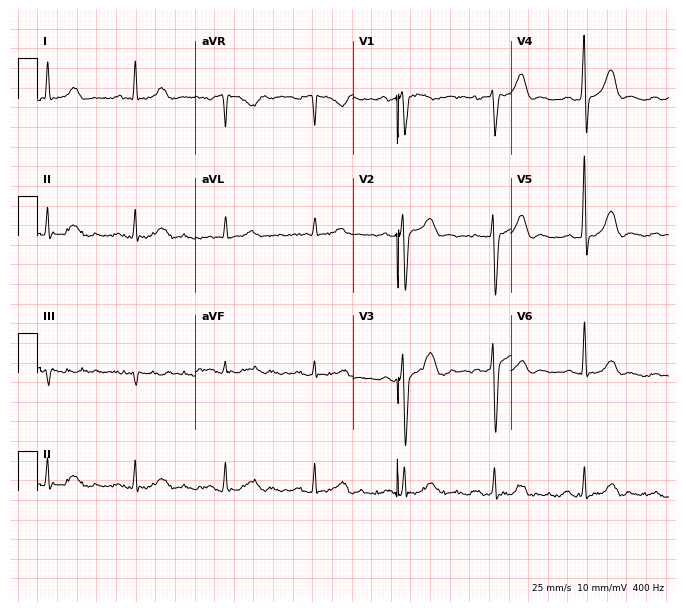
Resting 12-lead electrocardiogram (6.4-second recording at 400 Hz). Patient: a 67-year-old man. None of these six findings is recorded: first-degree AV block, right bundle branch block, left bundle branch block, sinus bradycardia, atrial fibrillation, sinus tachycardia.